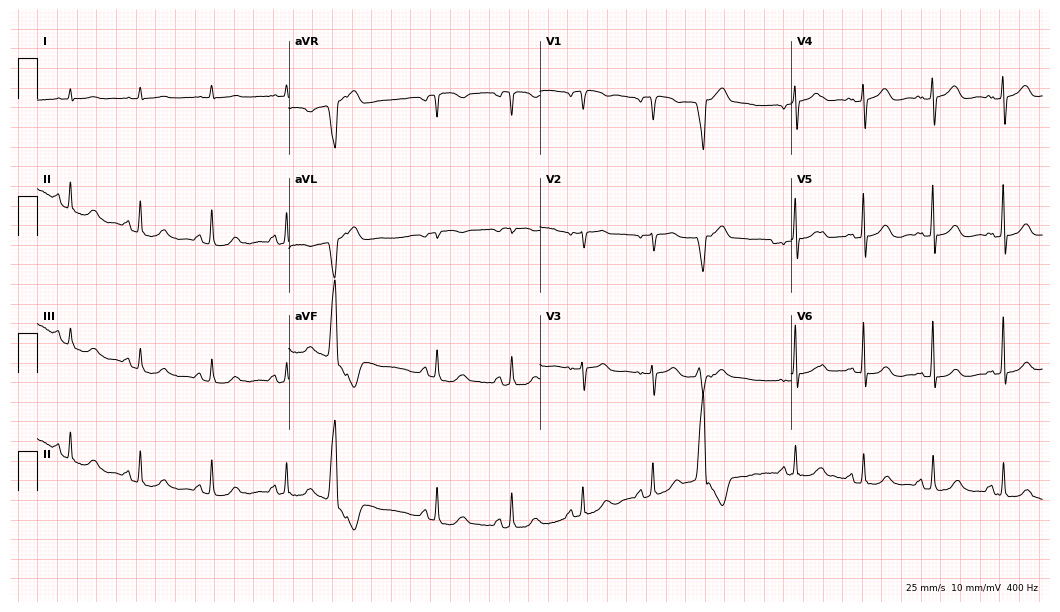
12-lead ECG from a female, 81 years old (10.2-second recording at 400 Hz). Recorded interpretation: within normal limits.